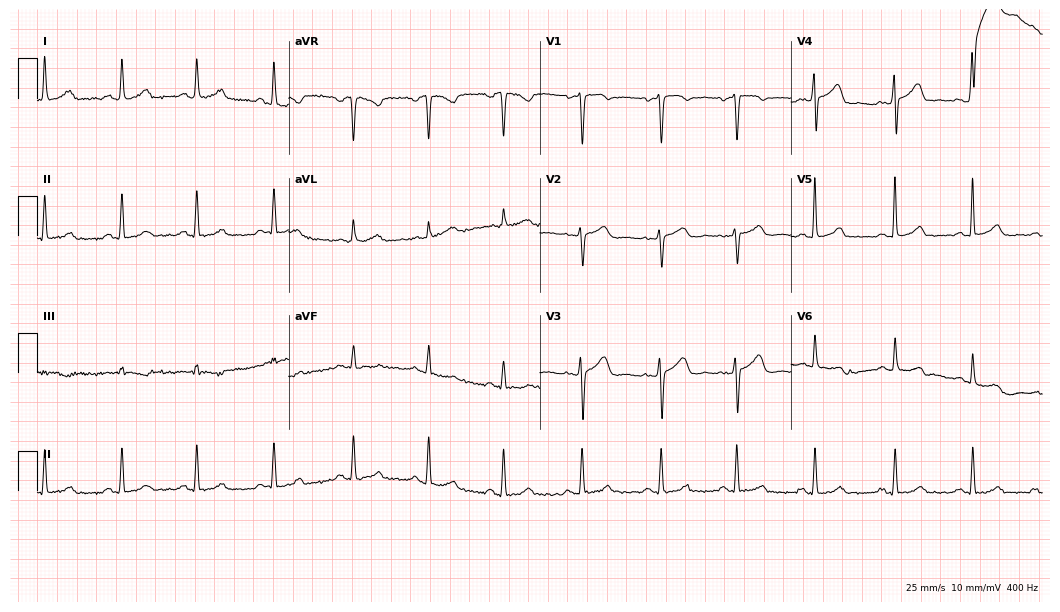
ECG (10.2-second recording at 400 Hz) — a female patient, 36 years old. Labelled as a normal ECG.